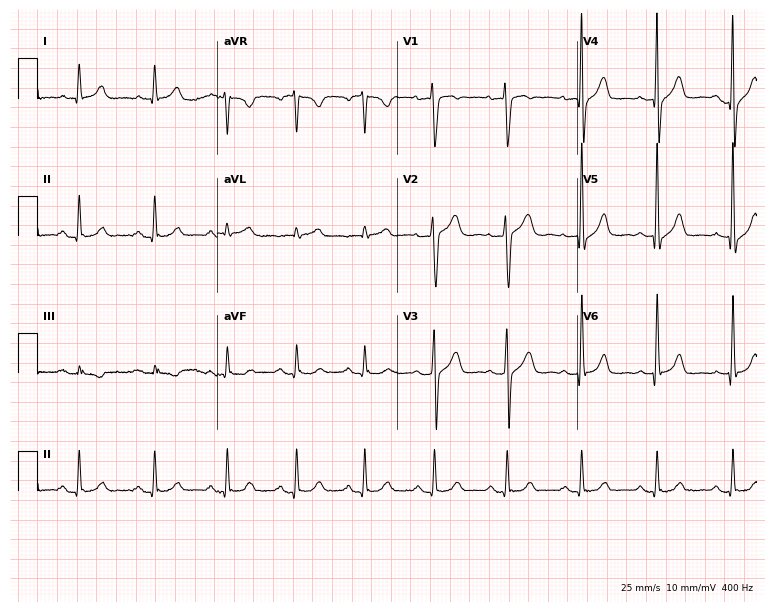
Resting 12-lead electrocardiogram. Patient: a 53-year-old man. Read as a normal ECG.